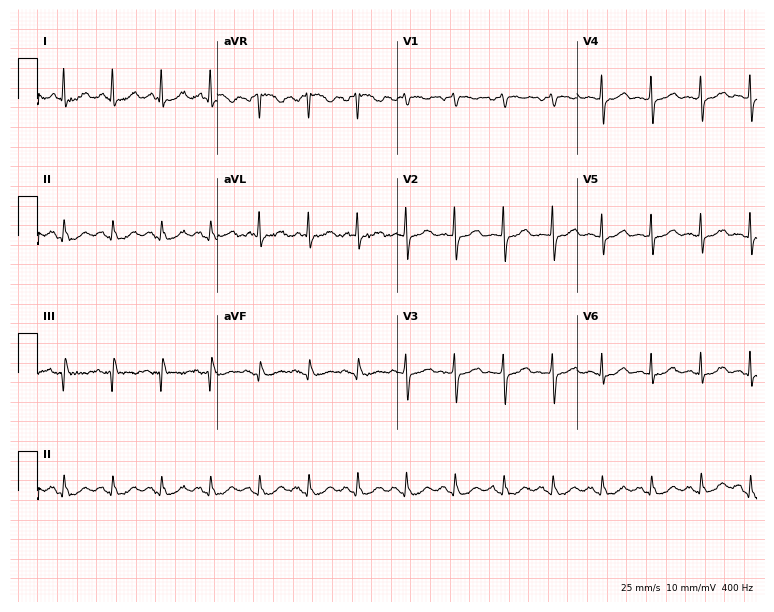
Standard 12-lead ECG recorded from a 77-year-old male patient (7.3-second recording at 400 Hz). The tracing shows sinus tachycardia (a sinus rate of 100 beats per minute or more).